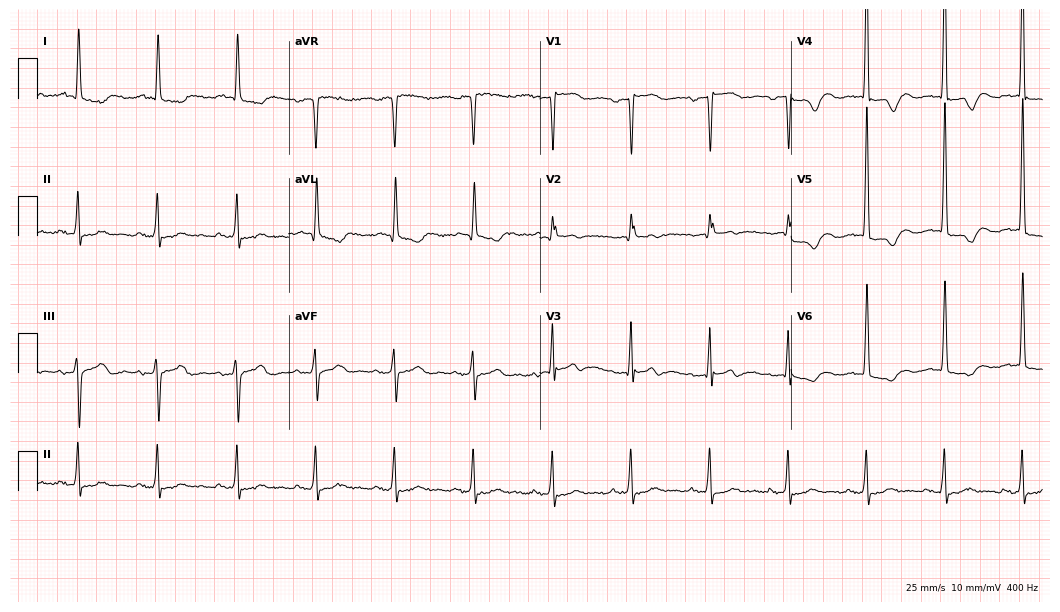
Standard 12-lead ECG recorded from a female, 78 years old. None of these six findings is recorded: first-degree AV block, right bundle branch block, left bundle branch block, sinus bradycardia, atrial fibrillation, sinus tachycardia.